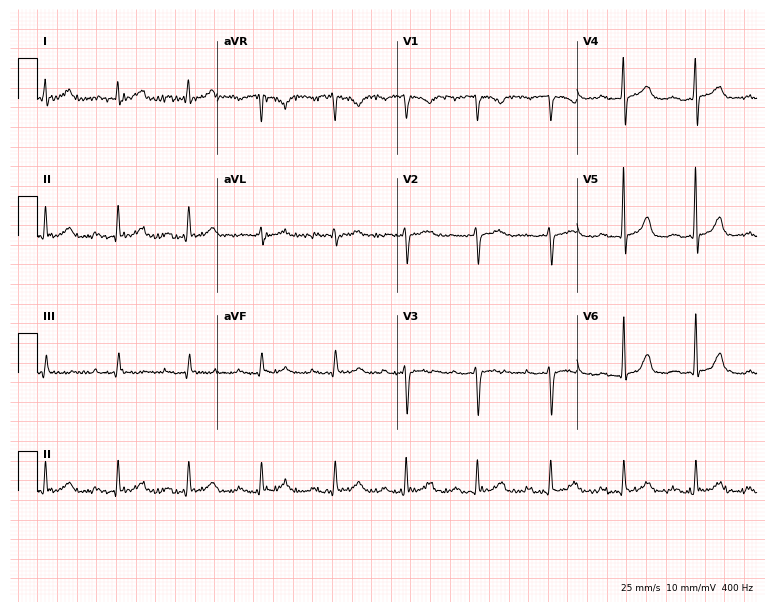
Standard 12-lead ECG recorded from a 45-year-old woman. Read as a normal ECG.